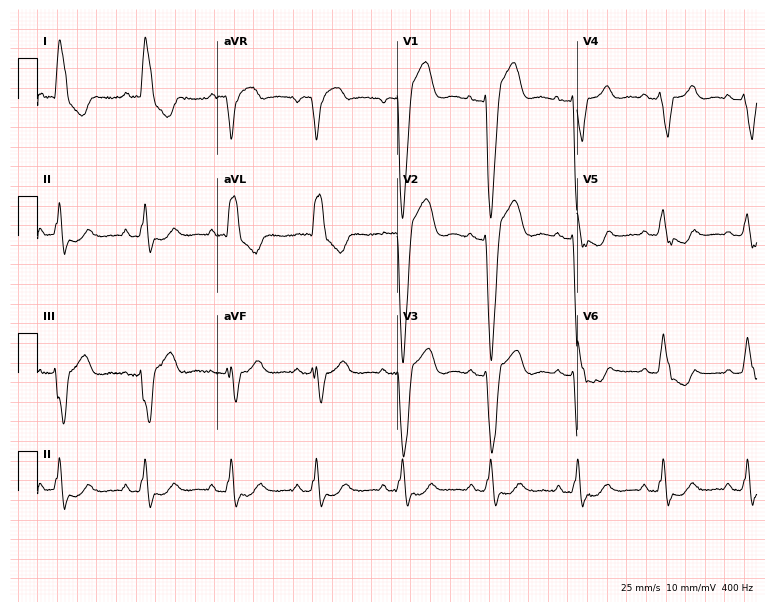
12-lead ECG from a woman, 79 years old. Shows left bundle branch block.